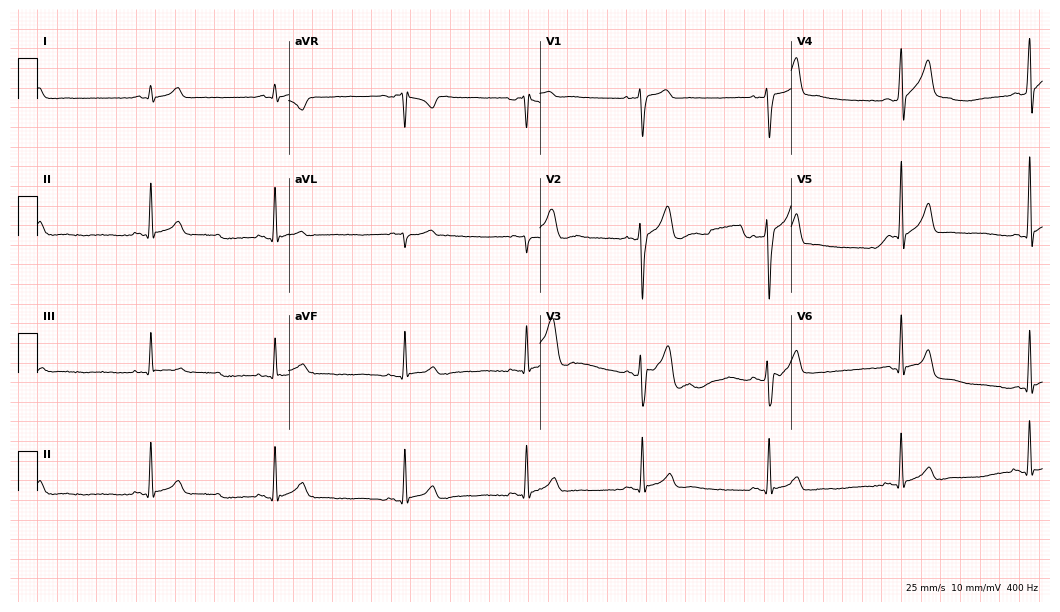
Resting 12-lead electrocardiogram (10.2-second recording at 400 Hz). Patient: a male, 21 years old. Read as a normal ECG.